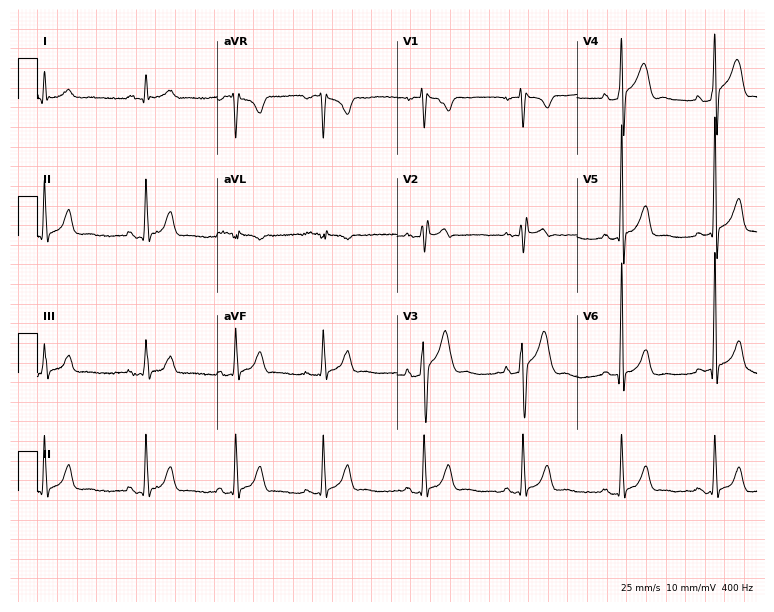
12-lead ECG from a male, 78 years old. Screened for six findings — first-degree AV block, right bundle branch block, left bundle branch block, sinus bradycardia, atrial fibrillation, sinus tachycardia — none is recorded.